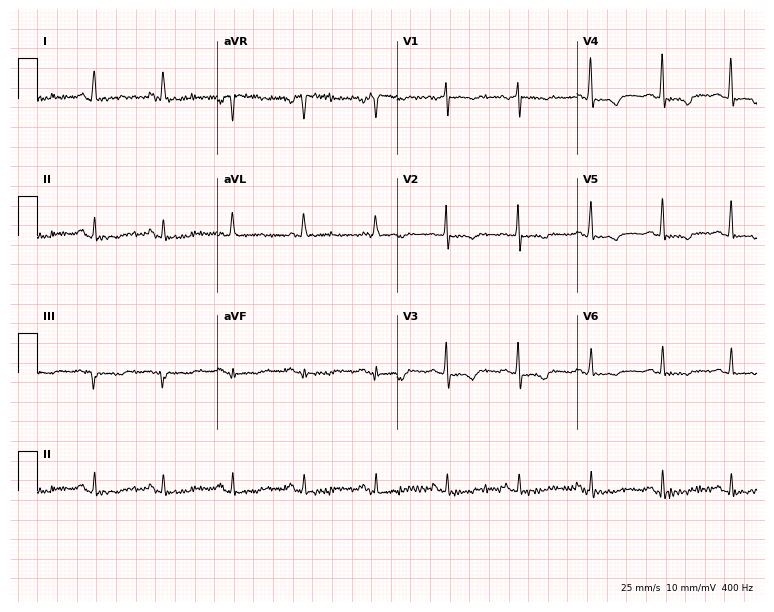
Standard 12-lead ECG recorded from a female patient, 72 years old. None of these six findings is recorded: first-degree AV block, right bundle branch block, left bundle branch block, sinus bradycardia, atrial fibrillation, sinus tachycardia.